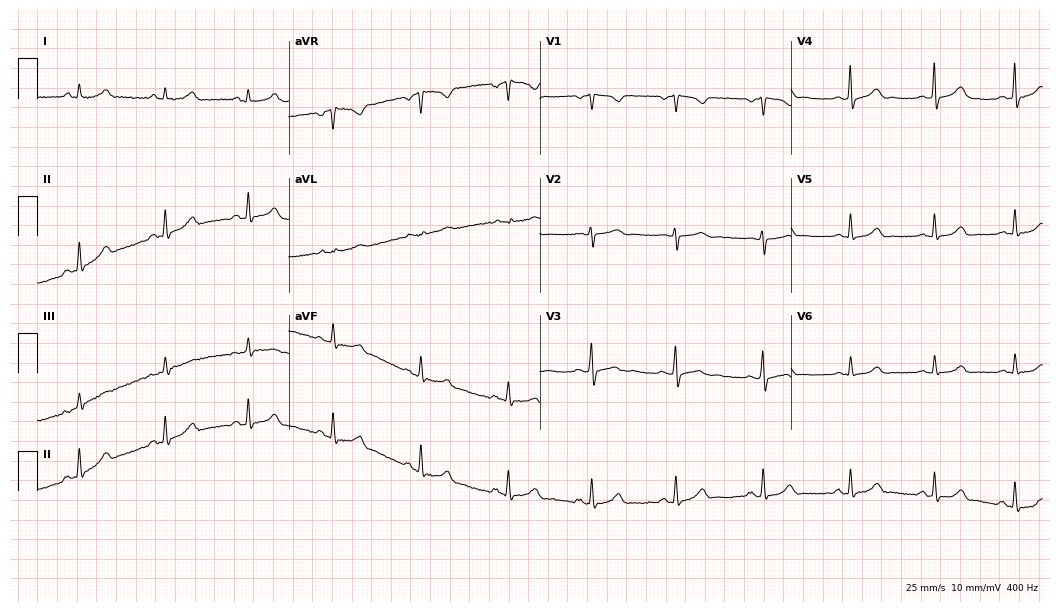
12-lead ECG from a female patient, 20 years old. No first-degree AV block, right bundle branch block, left bundle branch block, sinus bradycardia, atrial fibrillation or sinus tachycardia recorded for this tracing. Other findings, if any, are not listed.